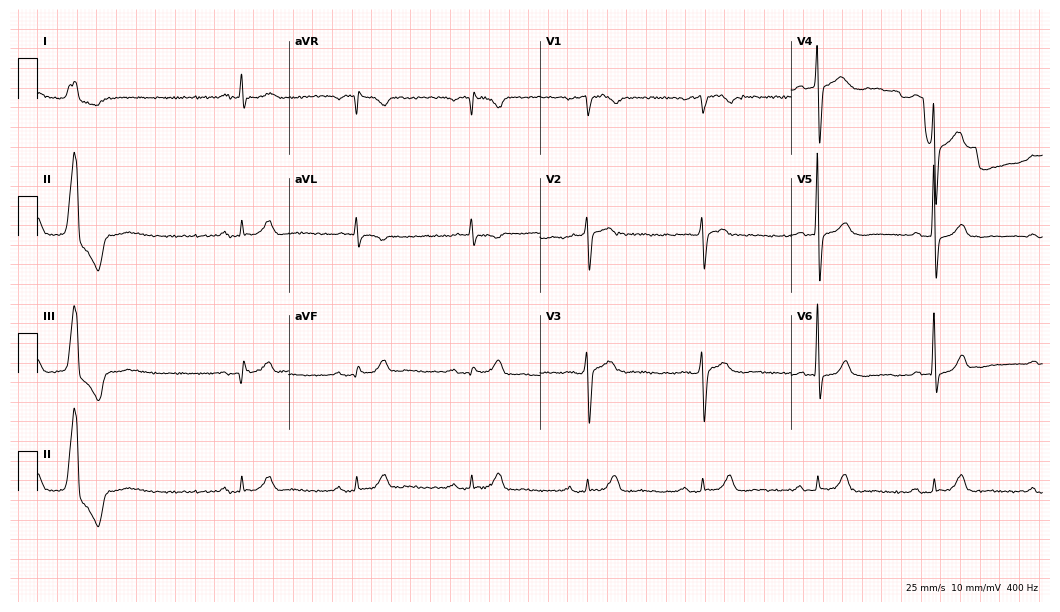
12-lead ECG (10.2-second recording at 400 Hz) from a 75-year-old male patient. Screened for six findings — first-degree AV block, right bundle branch block, left bundle branch block, sinus bradycardia, atrial fibrillation, sinus tachycardia — none is recorded.